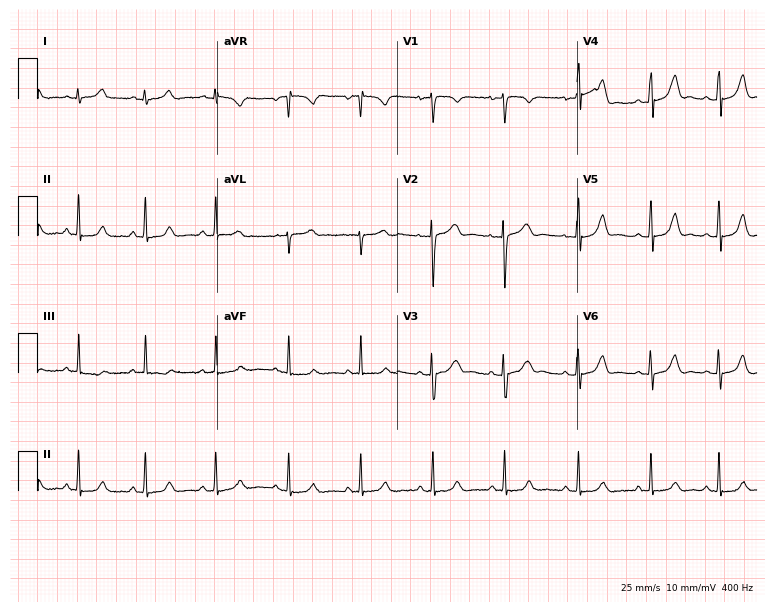
Resting 12-lead electrocardiogram. Patient: a female, 23 years old. Read as a normal ECG.